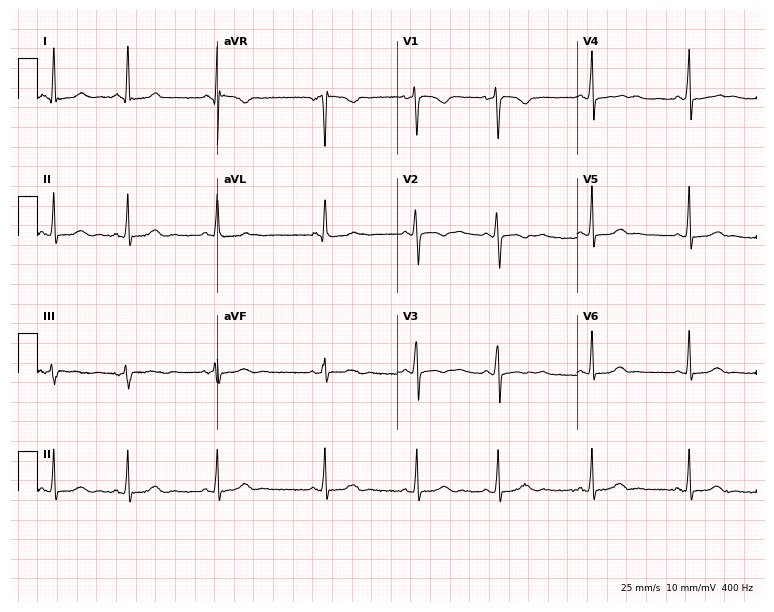
12-lead ECG from an 18-year-old female patient (7.3-second recording at 400 Hz). Recorded interpretation: within normal limits.